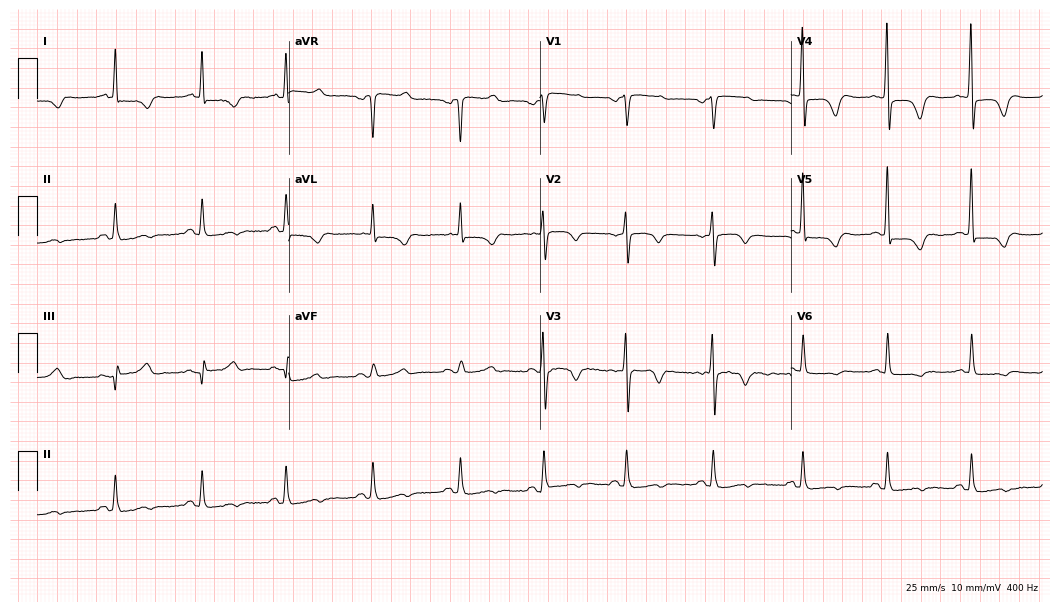
12-lead ECG from a 61-year-old female (10.2-second recording at 400 Hz). No first-degree AV block, right bundle branch block, left bundle branch block, sinus bradycardia, atrial fibrillation or sinus tachycardia recorded for this tracing.